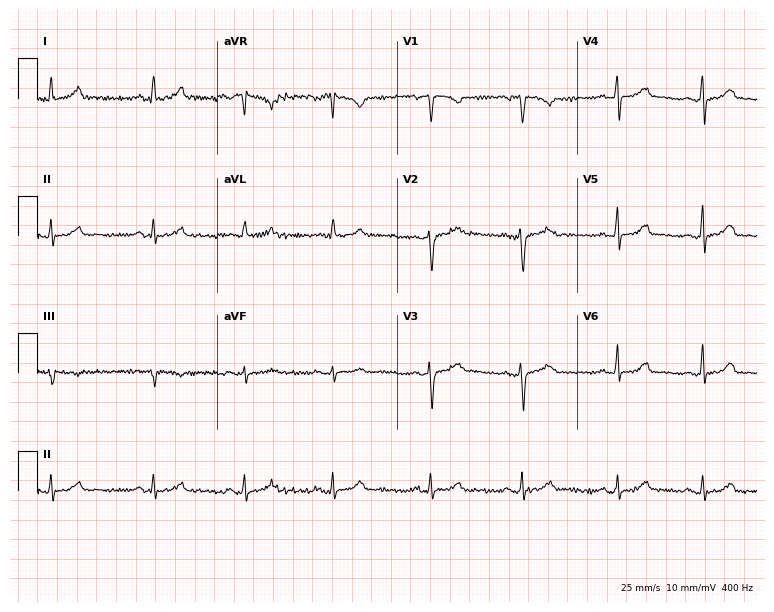
12-lead ECG from a female, 29 years old (7.3-second recording at 400 Hz). Recorded interpretation: within normal limits.